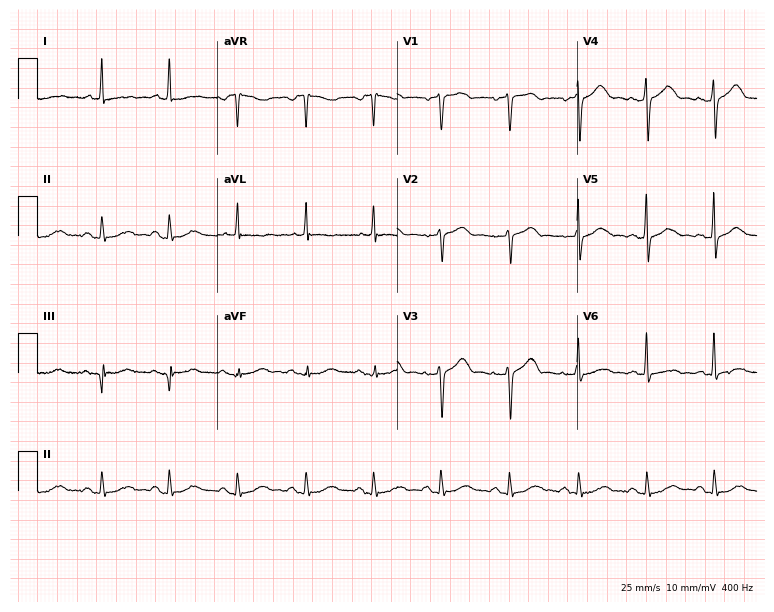
12-lead ECG from a 59-year-old female patient. No first-degree AV block, right bundle branch block, left bundle branch block, sinus bradycardia, atrial fibrillation or sinus tachycardia recorded for this tracing.